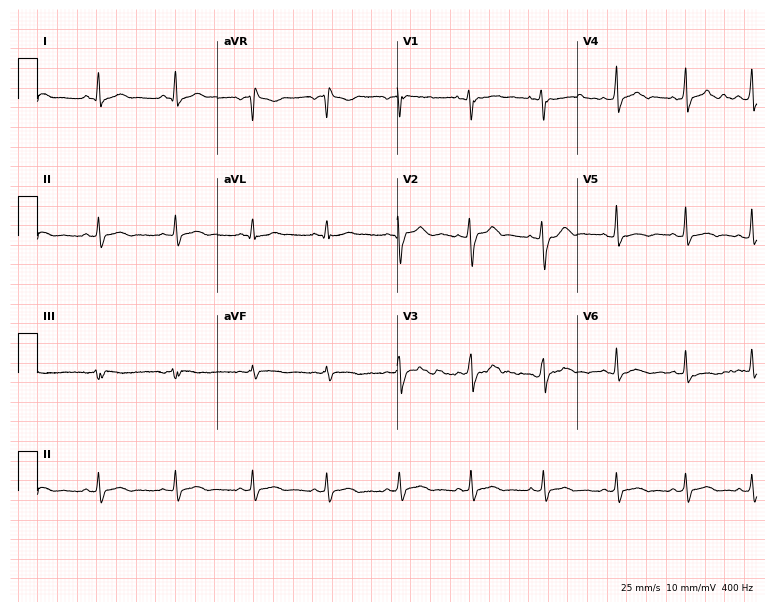
ECG (7.3-second recording at 400 Hz) — a 30-year-old man. Labelled as a normal ECG.